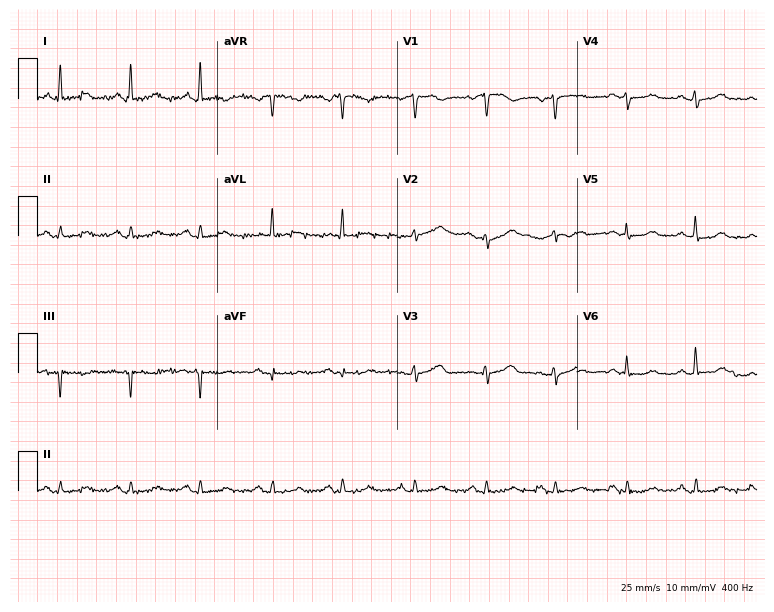
ECG (7.3-second recording at 400 Hz) — a woman, 69 years old. Labelled as a normal ECG.